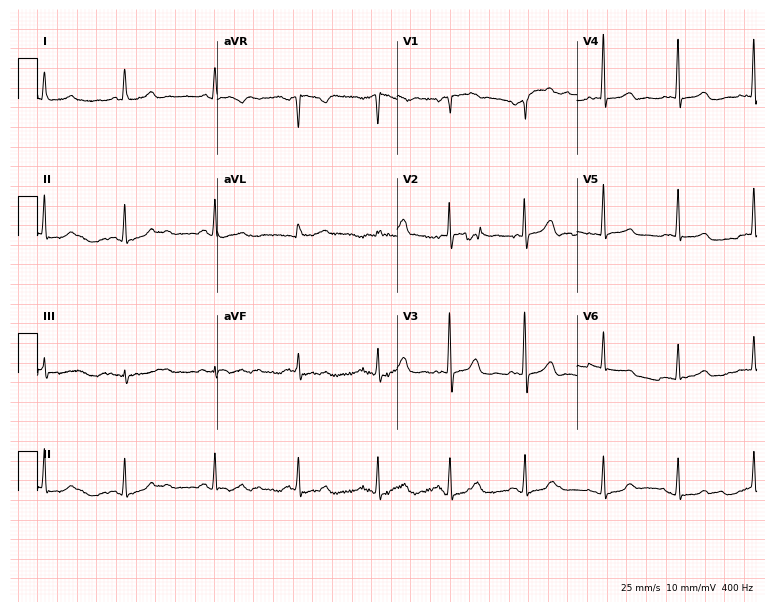
ECG — a female patient, 85 years old. Screened for six findings — first-degree AV block, right bundle branch block (RBBB), left bundle branch block (LBBB), sinus bradycardia, atrial fibrillation (AF), sinus tachycardia — none is recorded.